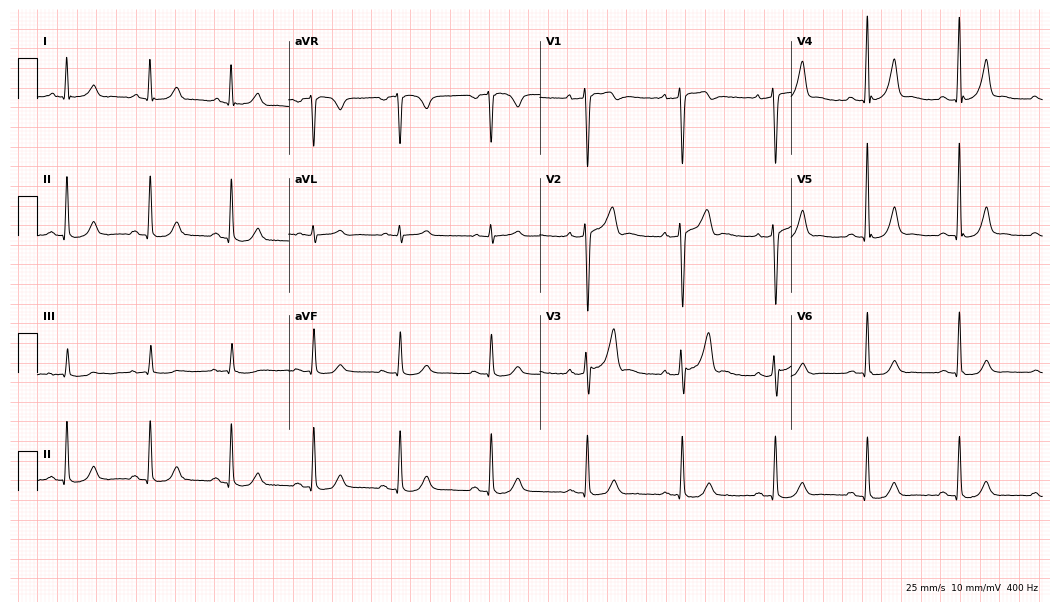
ECG (10.2-second recording at 400 Hz) — a 59-year-old male patient. Labelled as a normal ECG.